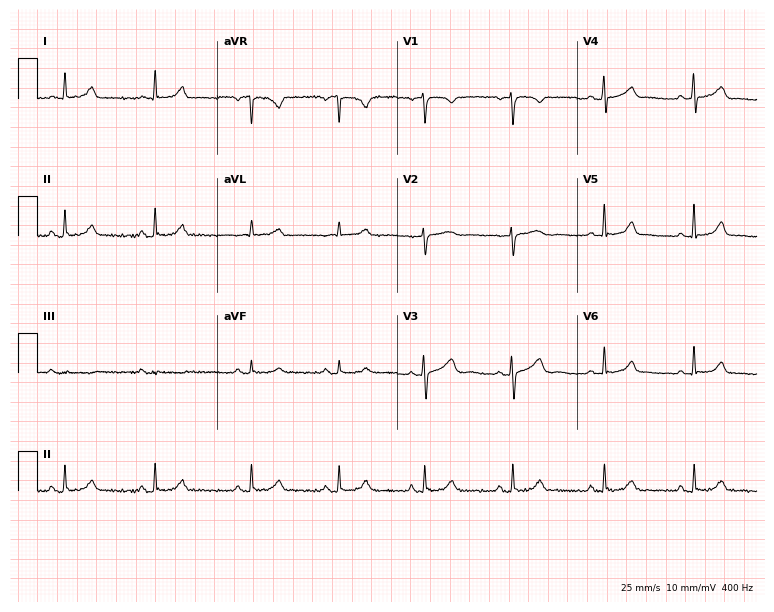
ECG — a female, 44 years old. Labelled as a normal ECG.